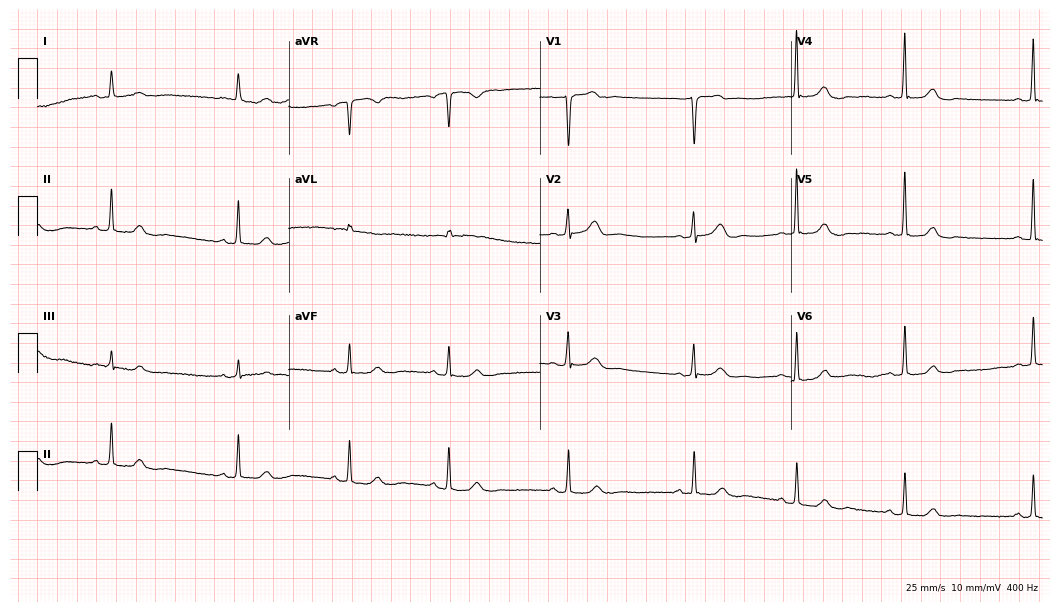
Standard 12-lead ECG recorded from a woman, 39 years old (10.2-second recording at 400 Hz). Read as a normal ECG.